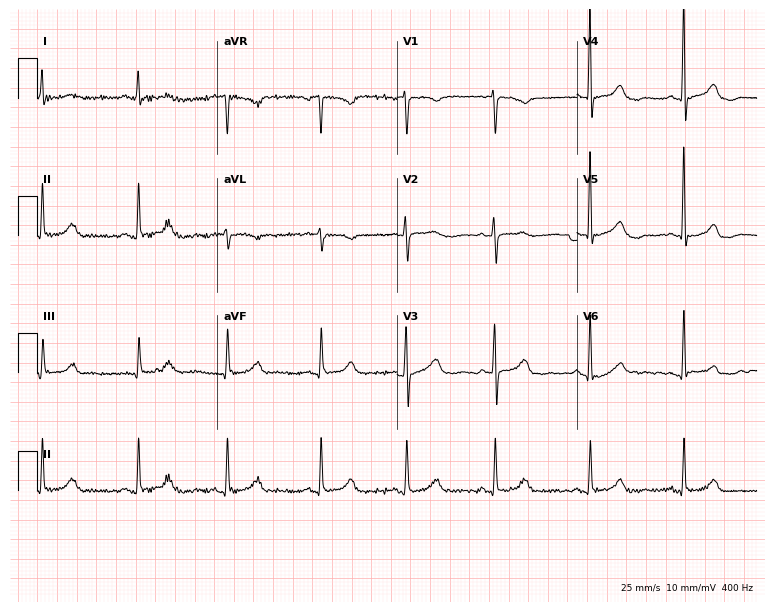
Standard 12-lead ECG recorded from a 61-year-old female (7.3-second recording at 400 Hz). Read as a normal ECG.